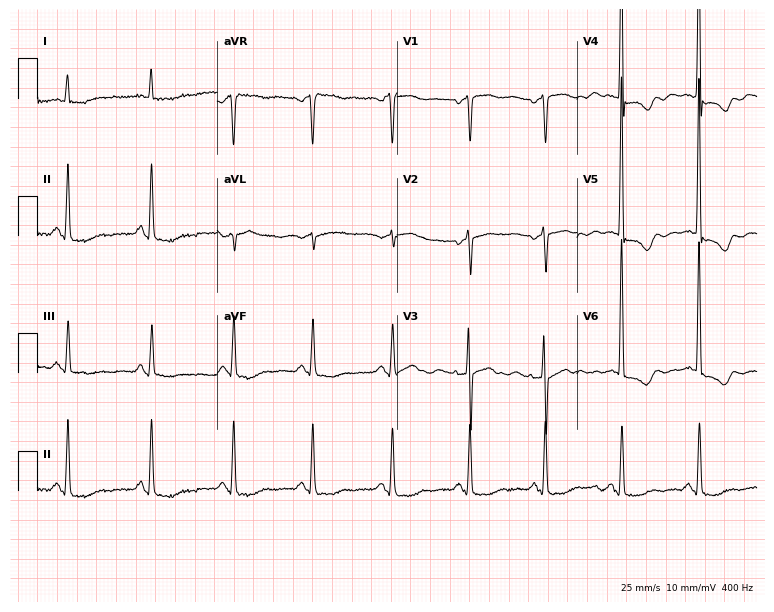
ECG — a 78-year-old woman. Screened for six findings — first-degree AV block, right bundle branch block (RBBB), left bundle branch block (LBBB), sinus bradycardia, atrial fibrillation (AF), sinus tachycardia — none is recorded.